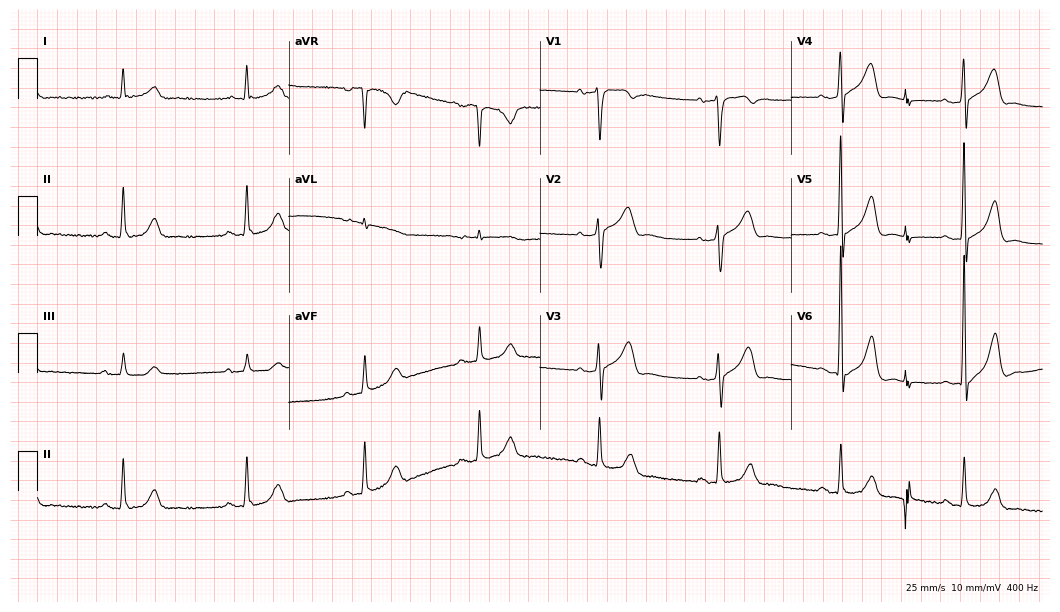
Electrocardiogram, a 70-year-old male patient. Interpretation includes sinus bradycardia (a sinus rate of 50 beats per minute or less).